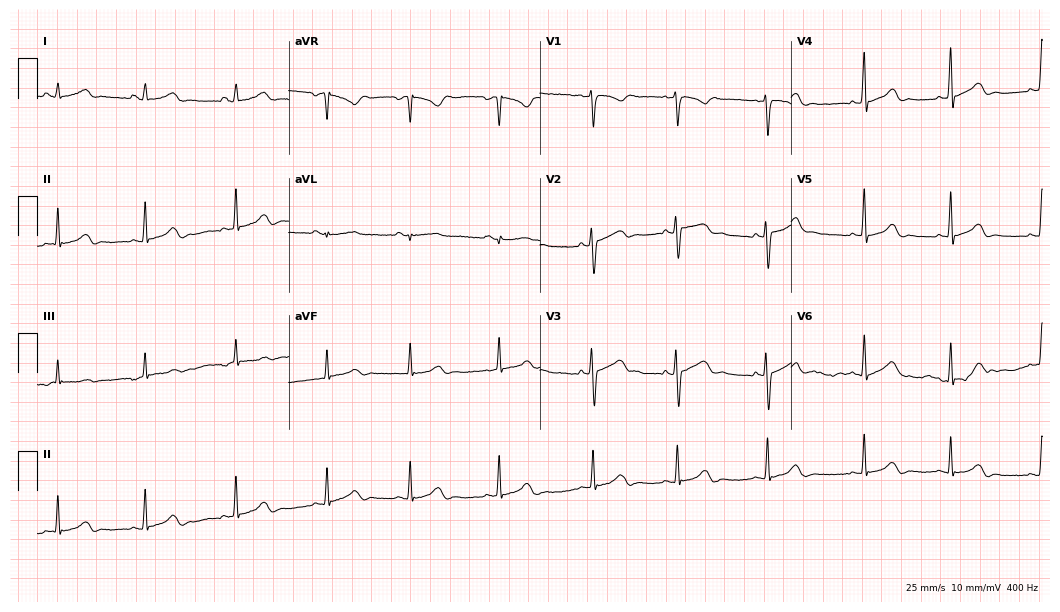
Resting 12-lead electrocardiogram (10.2-second recording at 400 Hz). Patient: a 21-year-old female. Read as a normal ECG.